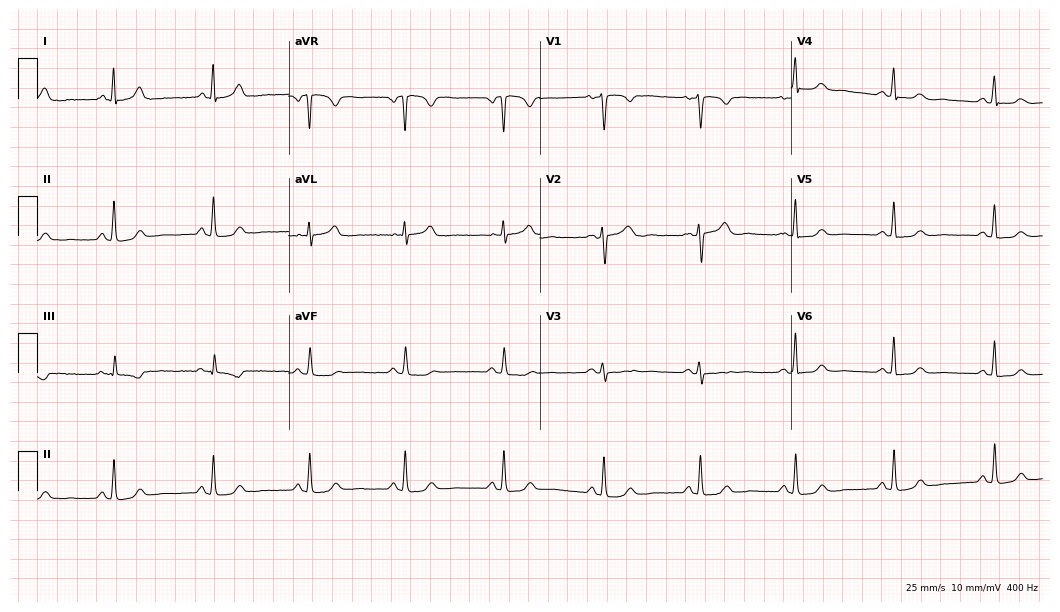
ECG — a female patient, 58 years old. Screened for six findings — first-degree AV block, right bundle branch block, left bundle branch block, sinus bradycardia, atrial fibrillation, sinus tachycardia — none is recorded.